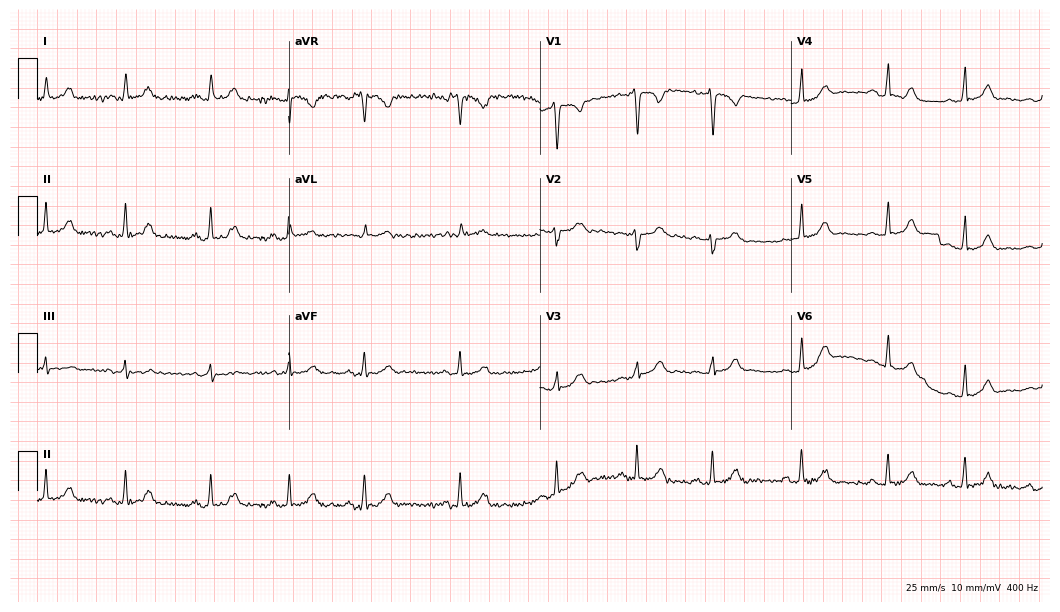
Electrocardiogram (10.2-second recording at 400 Hz), a woman, 30 years old. Of the six screened findings (first-degree AV block, right bundle branch block (RBBB), left bundle branch block (LBBB), sinus bradycardia, atrial fibrillation (AF), sinus tachycardia), none is recorded. Other findings, if any, are not listed.